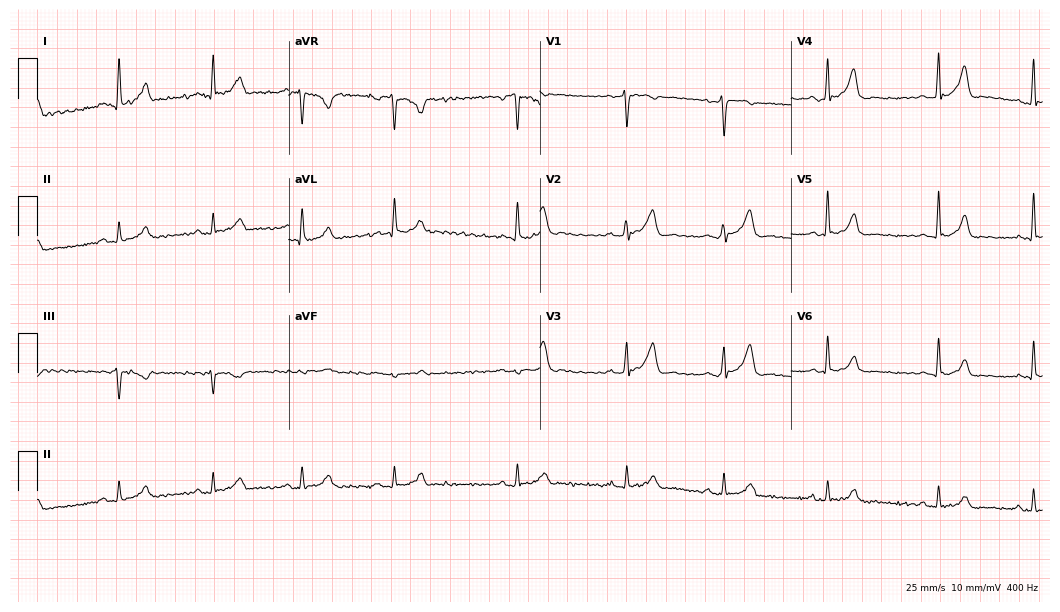
Electrocardiogram, a female, 35 years old. Of the six screened findings (first-degree AV block, right bundle branch block (RBBB), left bundle branch block (LBBB), sinus bradycardia, atrial fibrillation (AF), sinus tachycardia), none is recorded.